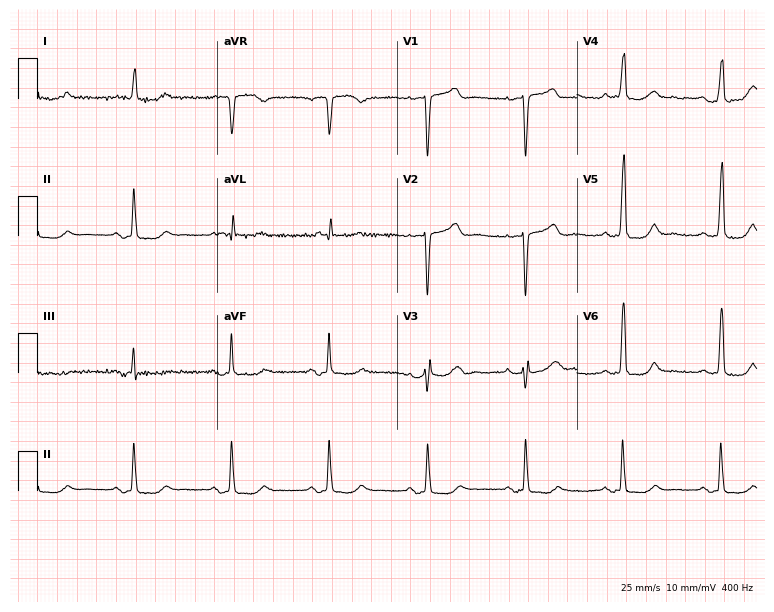
Electrocardiogram (7.3-second recording at 400 Hz), a woman, 81 years old. Of the six screened findings (first-degree AV block, right bundle branch block (RBBB), left bundle branch block (LBBB), sinus bradycardia, atrial fibrillation (AF), sinus tachycardia), none is recorded. Findings outside these six are not listed.